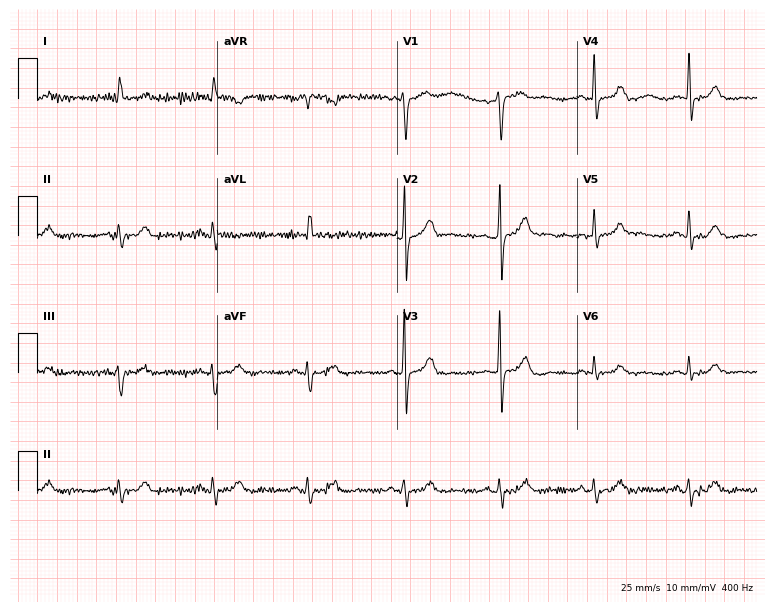
12-lead ECG from a 65-year-old male patient (7.3-second recording at 400 Hz). Recorded interpretation: within normal limits.